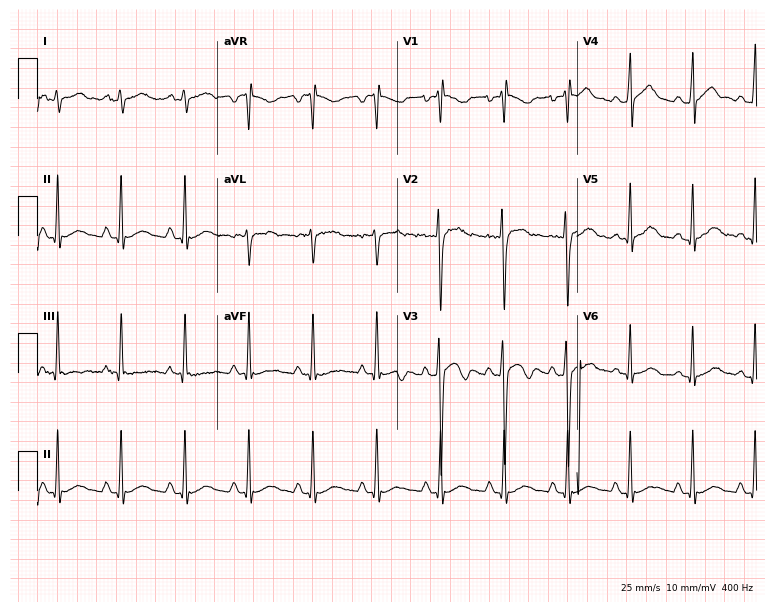
Standard 12-lead ECG recorded from a 25-year-old male (7.3-second recording at 400 Hz). None of these six findings is recorded: first-degree AV block, right bundle branch block, left bundle branch block, sinus bradycardia, atrial fibrillation, sinus tachycardia.